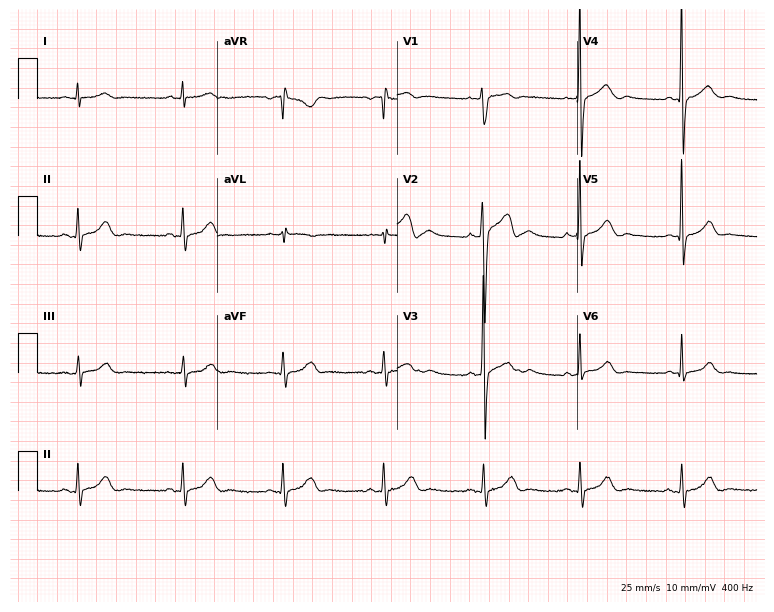
Standard 12-lead ECG recorded from a 42-year-old male patient. None of these six findings is recorded: first-degree AV block, right bundle branch block, left bundle branch block, sinus bradycardia, atrial fibrillation, sinus tachycardia. Other findings, if any, are not listed.